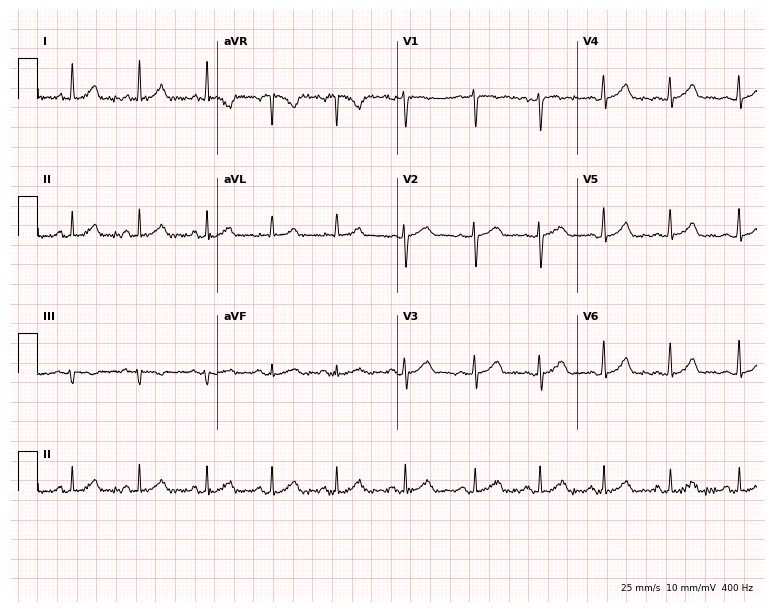
Electrocardiogram (7.3-second recording at 400 Hz), a 45-year-old female patient. Of the six screened findings (first-degree AV block, right bundle branch block (RBBB), left bundle branch block (LBBB), sinus bradycardia, atrial fibrillation (AF), sinus tachycardia), none is recorded.